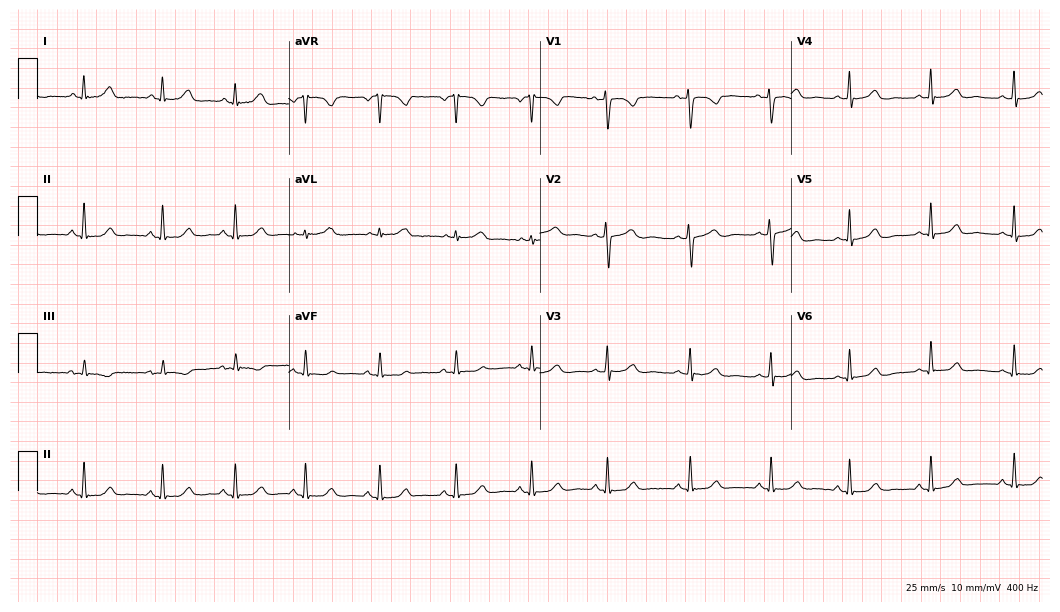
Standard 12-lead ECG recorded from a 29-year-old female patient (10.2-second recording at 400 Hz). Read as a normal ECG.